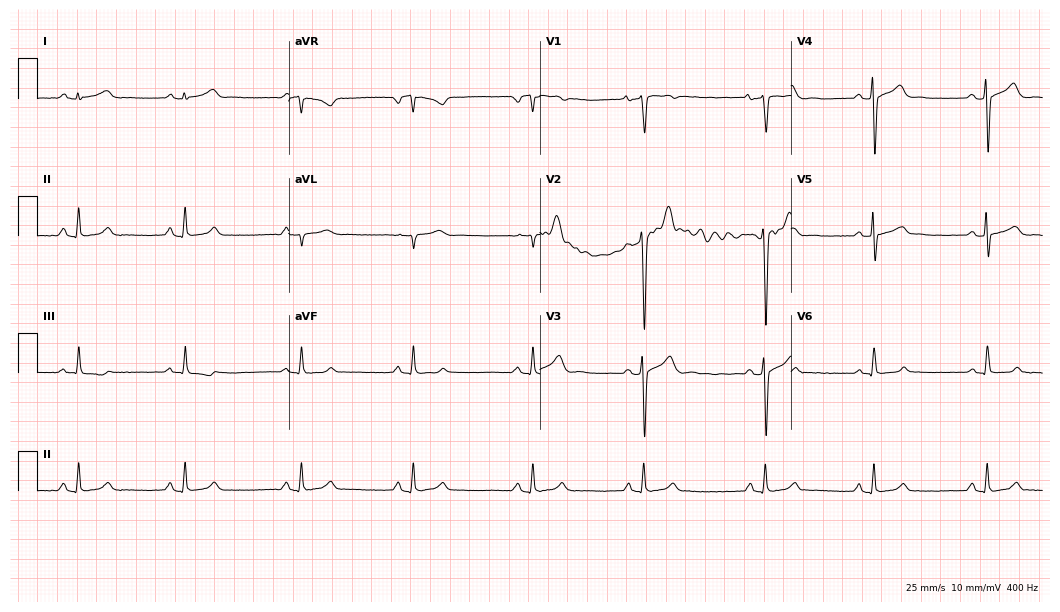
12-lead ECG from a male, 41 years old (10.2-second recording at 400 Hz). Recorded interpretation: within normal limits.